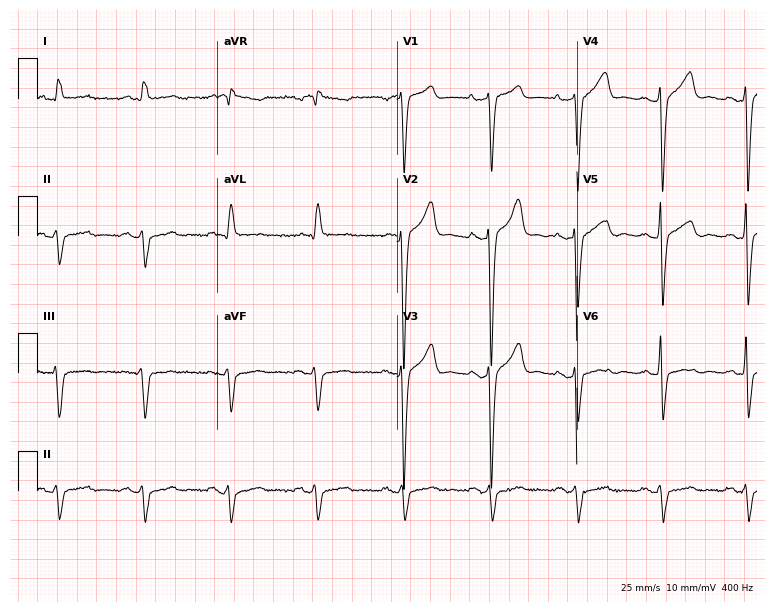
Resting 12-lead electrocardiogram. Patient: a 67-year-old female. None of these six findings is recorded: first-degree AV block, right bundle branch block, left bundle branch block, sinus bradycardia, atrial fibrillation, sinus tachycardia. Other findings, if any, are not listed.